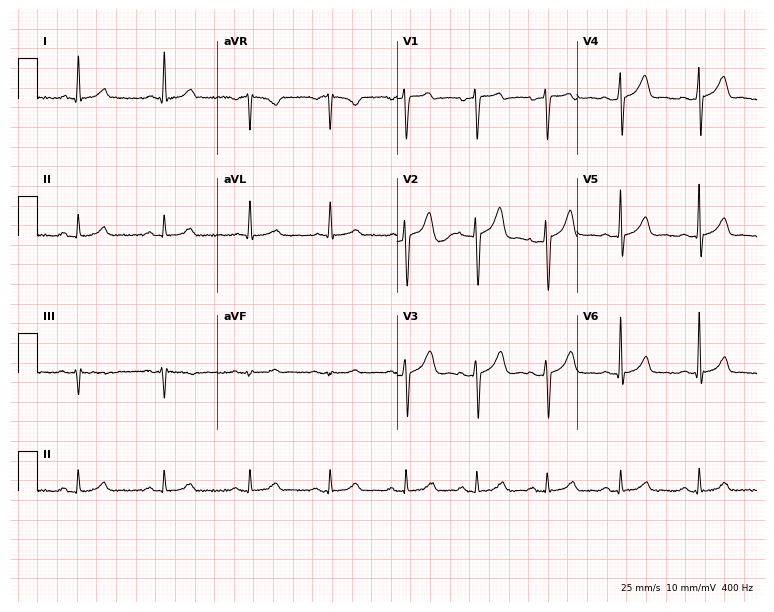
Resting 12-lead electrocardiogram. Patient: a male, 36 years old. Read as a normal ECG.